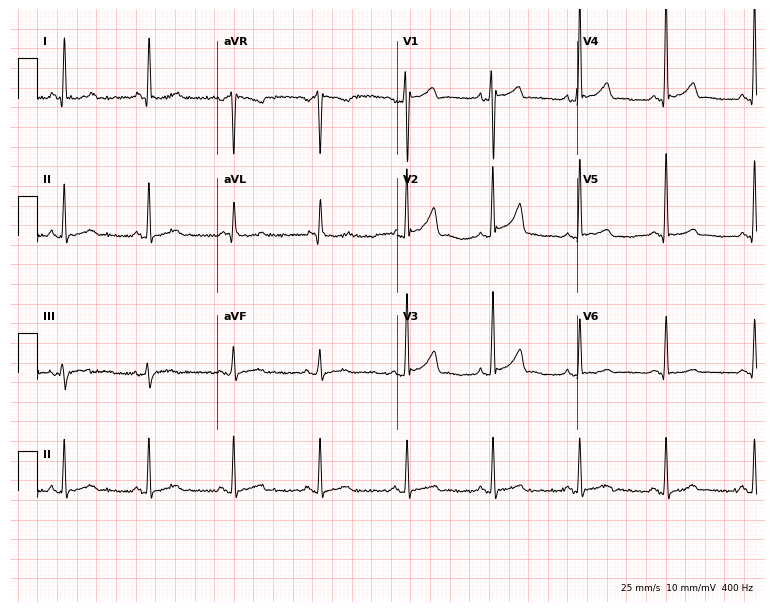
ECG — a male, 61 years old. Labelled as a normal ECG.